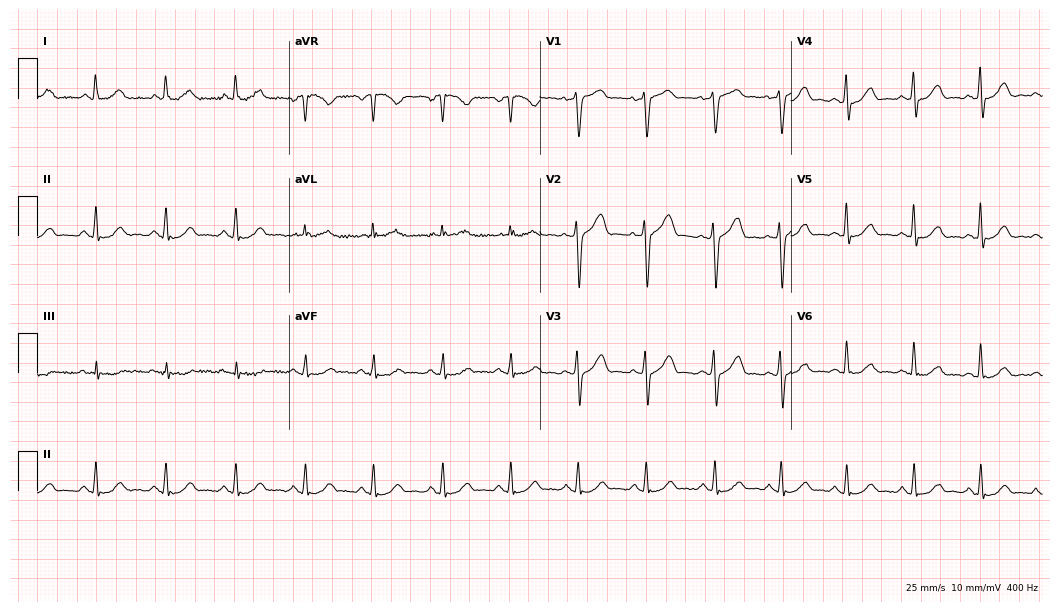
12-lead ECG from a 60-year-old man. Labelled as a normal ECG.